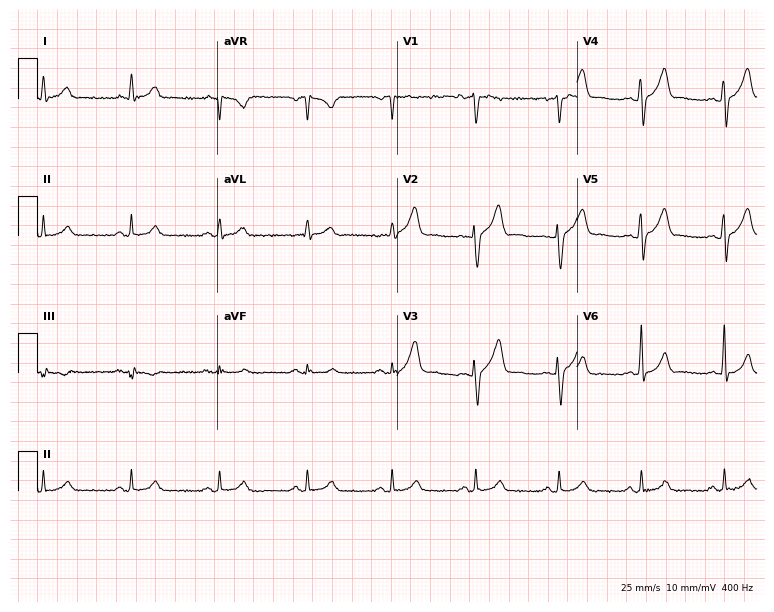
Electrocardiogram, a 41-year-old male. Overall reading on record: normal ECG.